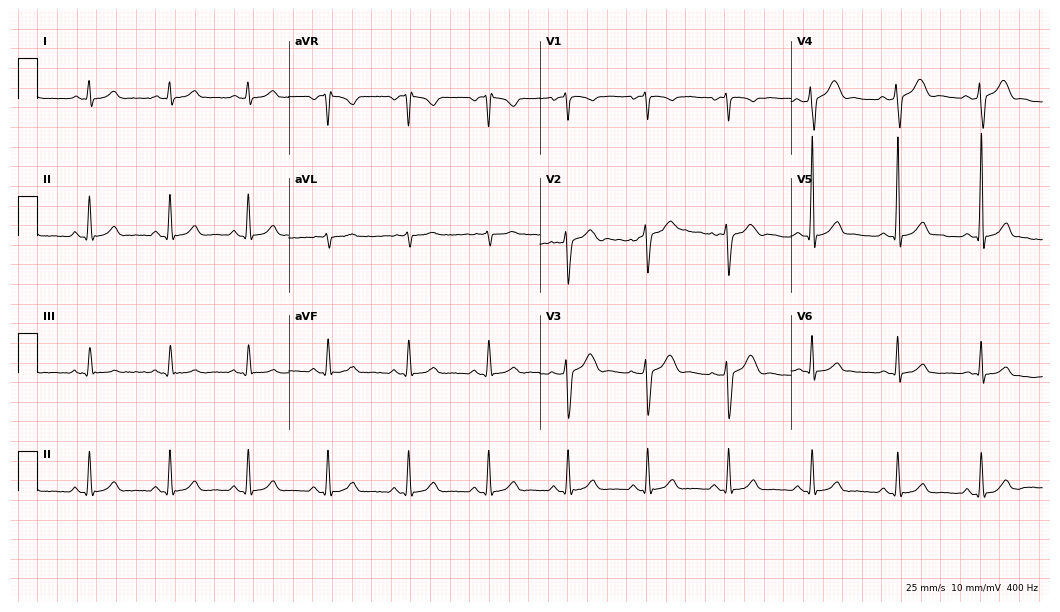
Resting 12-lead electrocardiogram. Patient: a 38-year-old male. Read as a normal ECG.